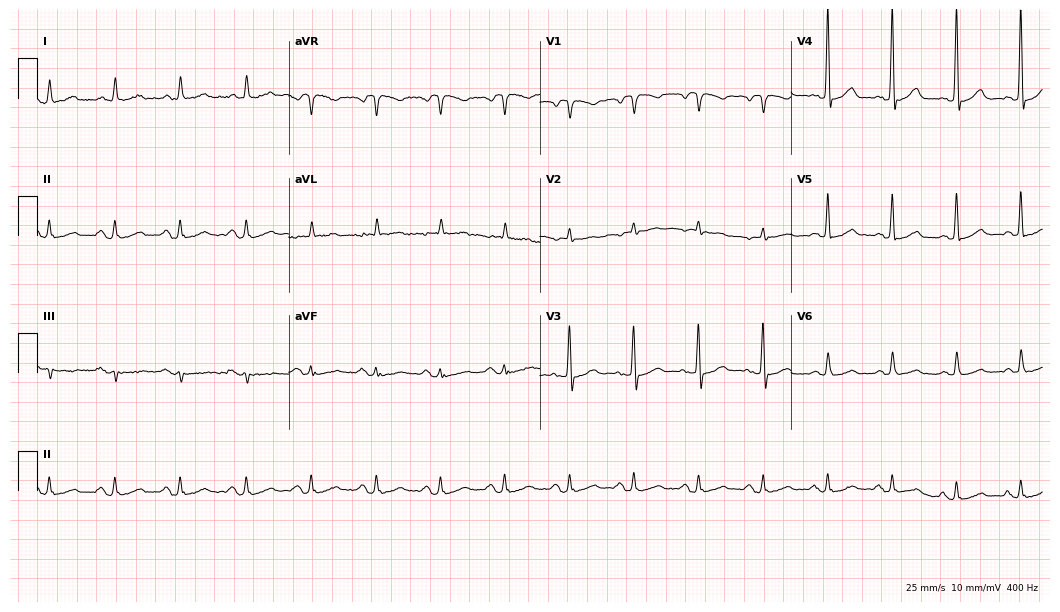
12-lead ECG from a 75-year-old female (10.2-second recording at 400 Hz). No first-degree AV block, right bundle branch block, left bundle branch block, sinus bradycardia, atrial fibrillation or sinus tachycardia recorded for this tracing.